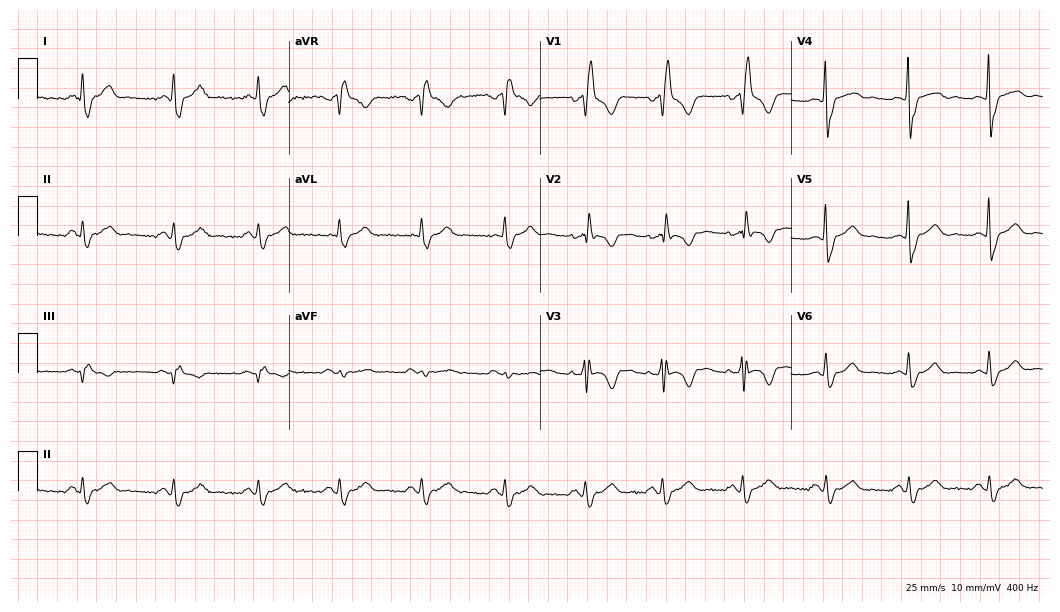
Standard 12-lead ECG recorded from a male patient, 47 years old (10.2-second recording at 400 Hz). The tracing shows right bundle branch block.